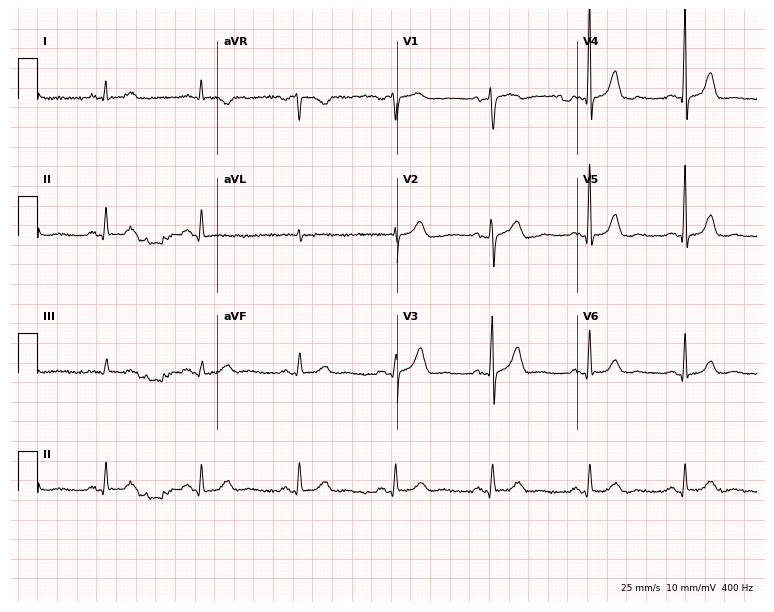
12-lead ECG from a man, 75 years old (7.3-second recording at 400 Hz). Recorded interpretation: within normal limits.